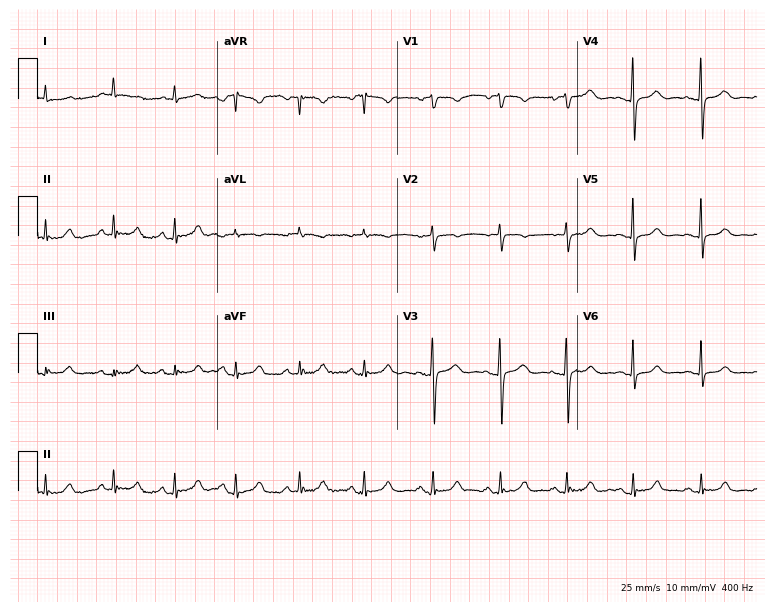
Electrocardiogram (7.3-second recording at 400 Hz), a woman, 83 years old. Of the six screened findings (first-degree AV block, right bundle branch block, left bundle branch block, sinus bradycardia, atrial fibrillation, sinus tachycardia), none is recorded. Other findings, if any, are not listed.